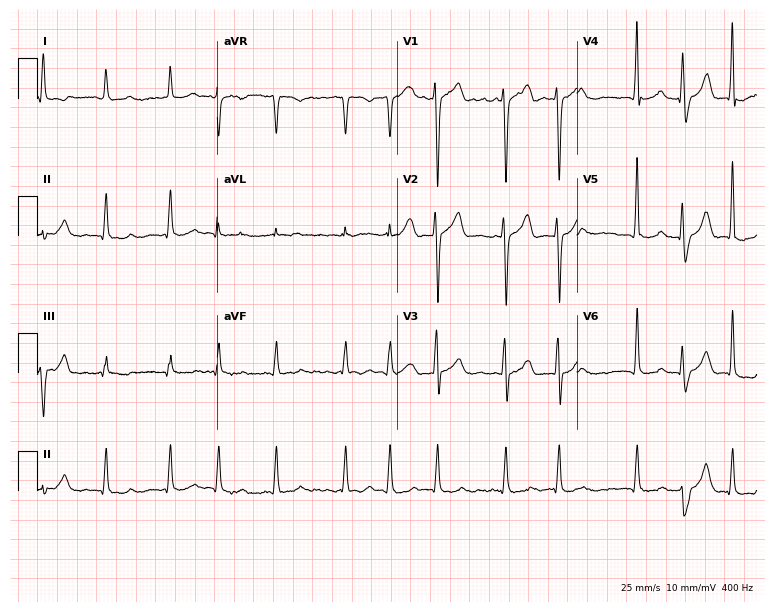
Electrocardiogram (7.3-second recording at 400 Hz), a 65-year-old man. Of the six screened findings (first-degree AV block, right bundle branch block, left bundle branch block, sinus bradycardia, atrial fibrillation, sinus tachycardia), none is recorded.